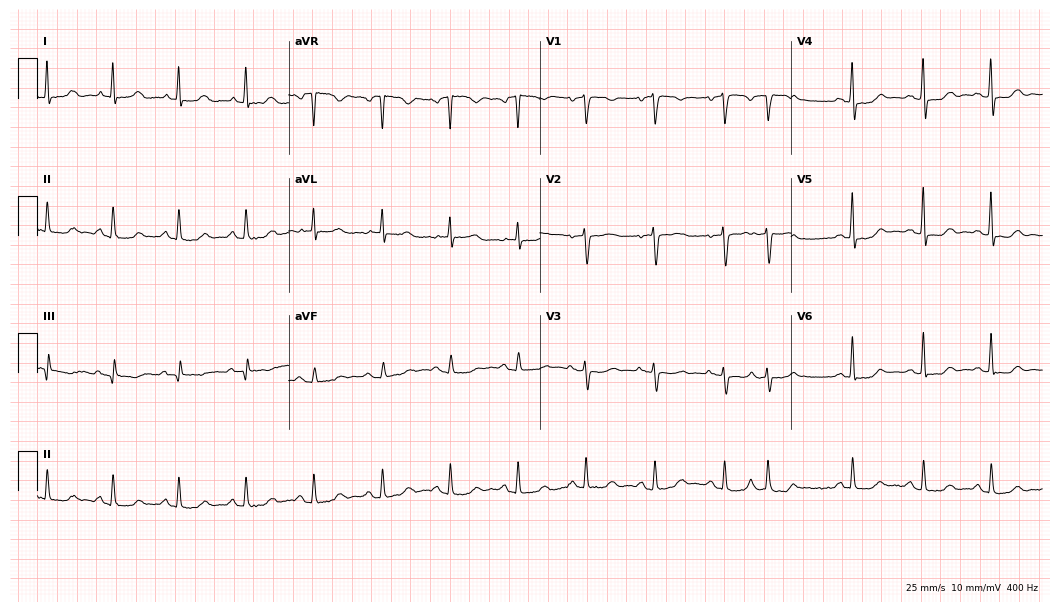
Resting 12-lead electrocardiogram. Patient: a 67-year-old female. None of these six findings is recorded: first-degree AV block, right bundle branch block, left bundle branch block, sinus bradycardia, atrial fibrillation, sinus tachycardia.